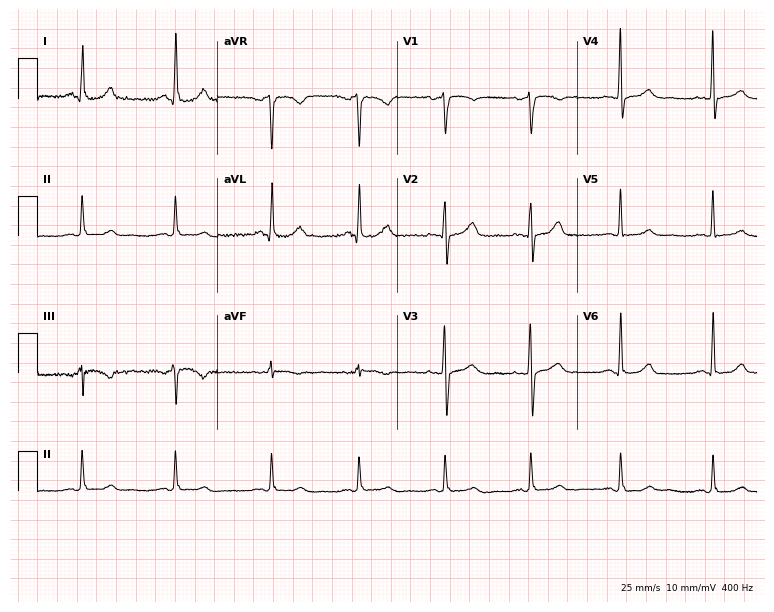
12-lead ECG from a 58-year-old female patient (7.3-second recording at 400 Hz). No first-degree AV block, right bundle branch block (RBBB), left bundle branch block (LBBB), sinus bradycardia, atrial fibrillation (AF) or sinus tachycardia recorded for this tracing. Findings outside these six are not listed.